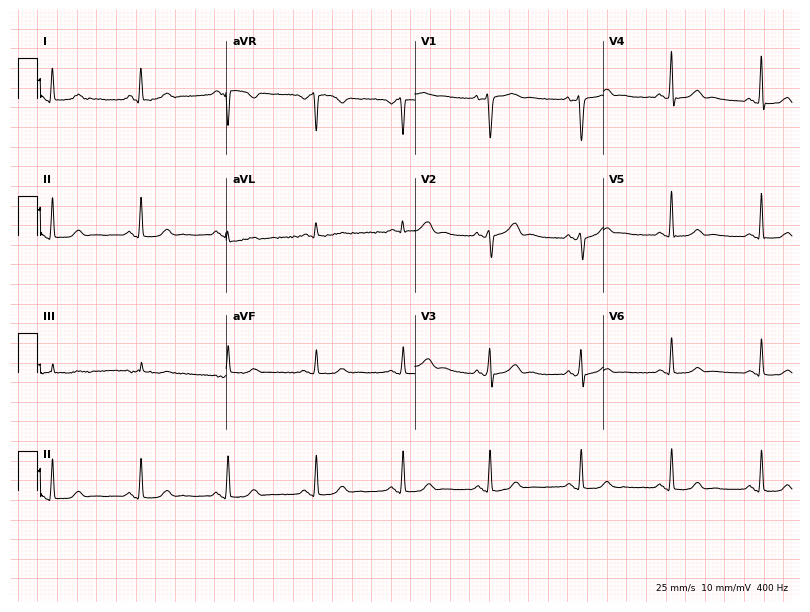
Electrocardiogram (7.7-second recording at 400 Hz), a 49-year-old female patient. Overall reading on record: normal ECG.